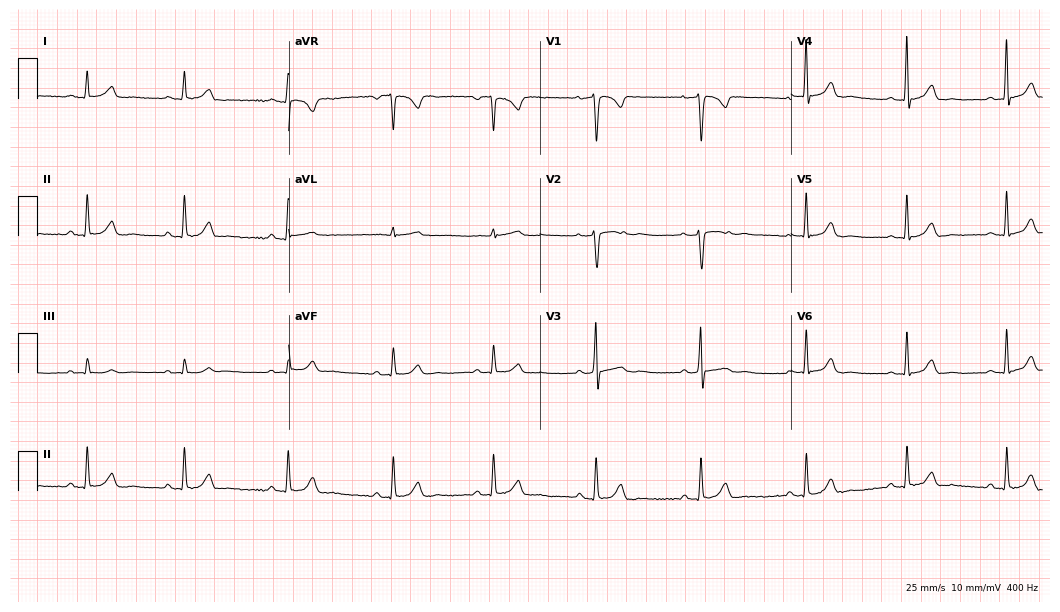
Standard 12-lead ECG recorded from a 35-year-old female patient (10.2-second recording at 400 Hz). Read as a normal ECG.